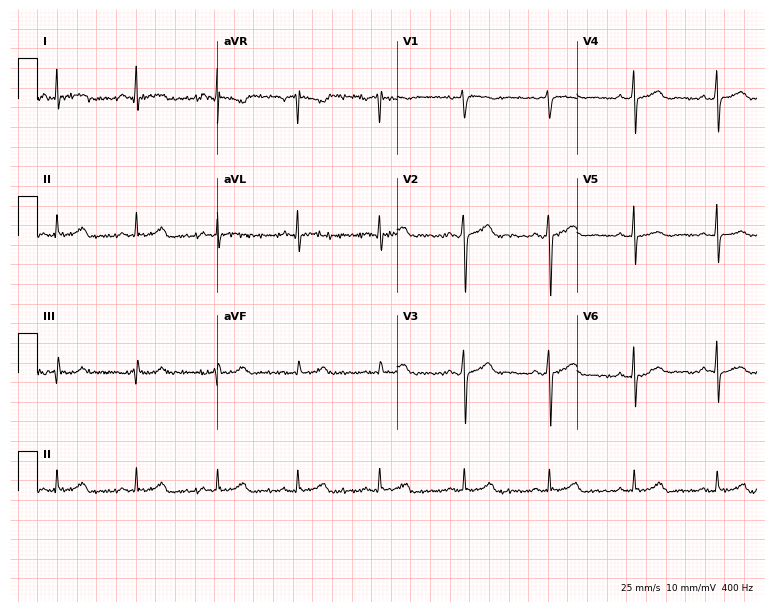
Electrocardiogram, a man, 46 years old. Overall reading on record: normal ECG.